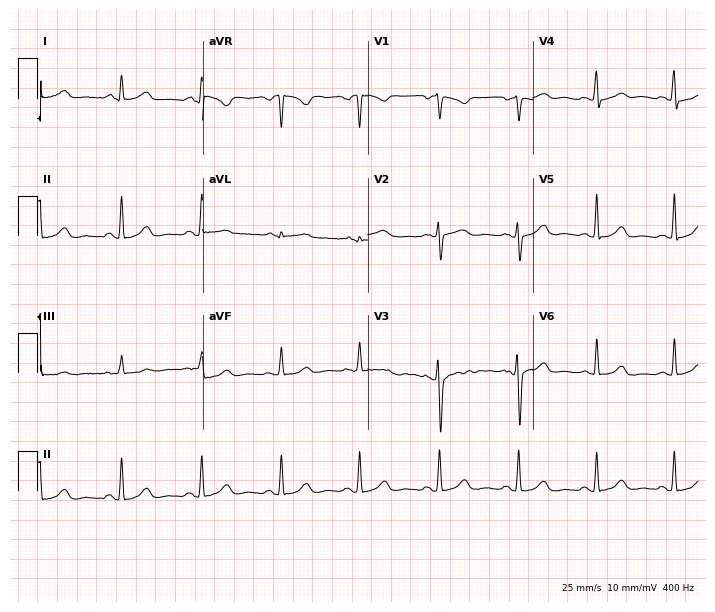
Standard 12-lead ECG recorded from a 32-year-old female patient. None of these six findings is recorded: first-degree AV block, right bundle branch block, left bundle branch block, sinus bradycardia, atrial fibrillation, sinus tachycardia.